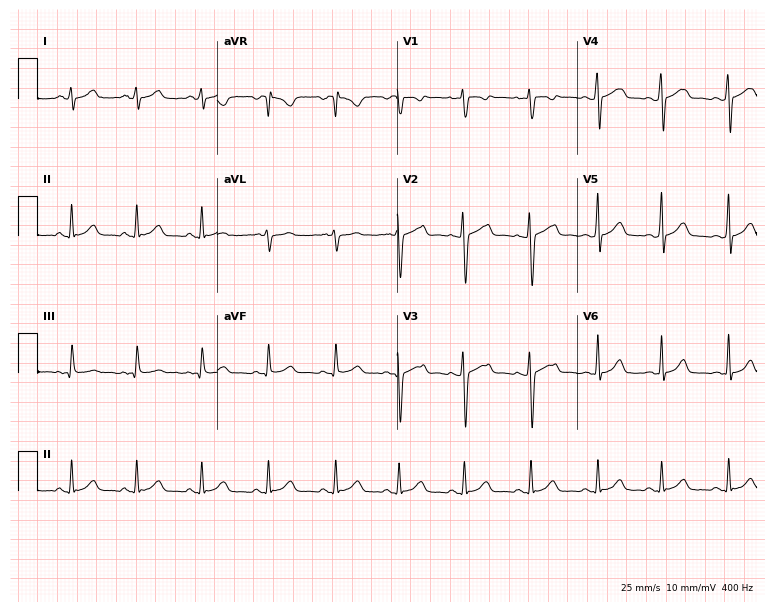
Standard 12-lead ECG recorded from a 19-year-old woman (7.3-second recording at 400 Hz). None of these six findings is recorded: first-degree AV block, right bundle branch block, left bundle branch block, sinus bradycardia, atrial fibrillation, sinus tachycardia. Only these six findings were labelled.